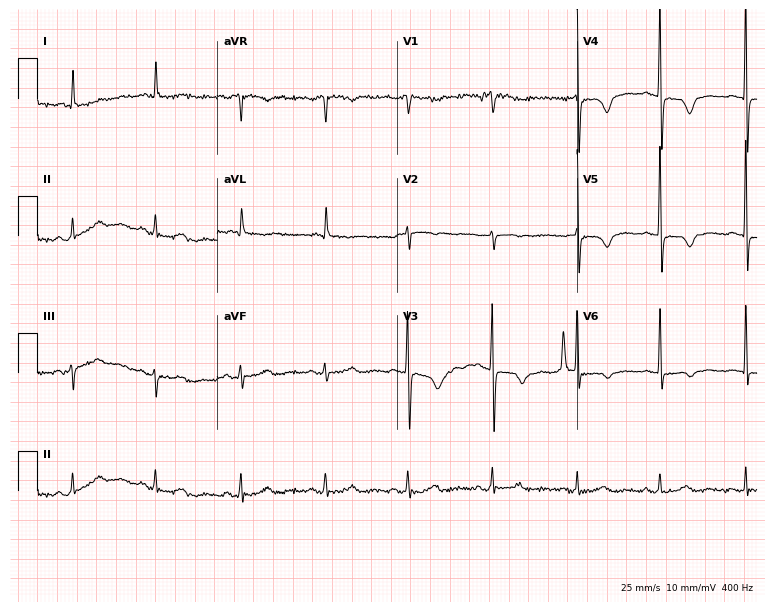
Standard 12-lead ECG recorded from a female patient, 83 years old. None of these six findings is recorded: first-degree AV block, right bundle branch block, left bundle branch block, sinus bradycardia, atrial fibrillation, sinus tachycardia. Other findings, if any, are not listed.